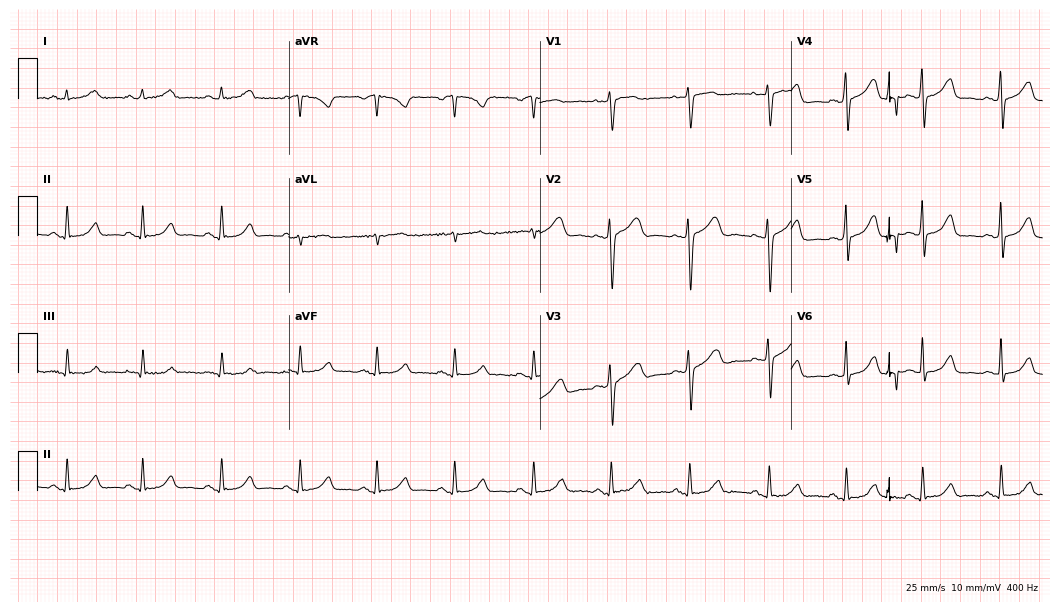
Standard 12-lead ECG recorded from a woman, 42 years old. Read as a normal ECG.